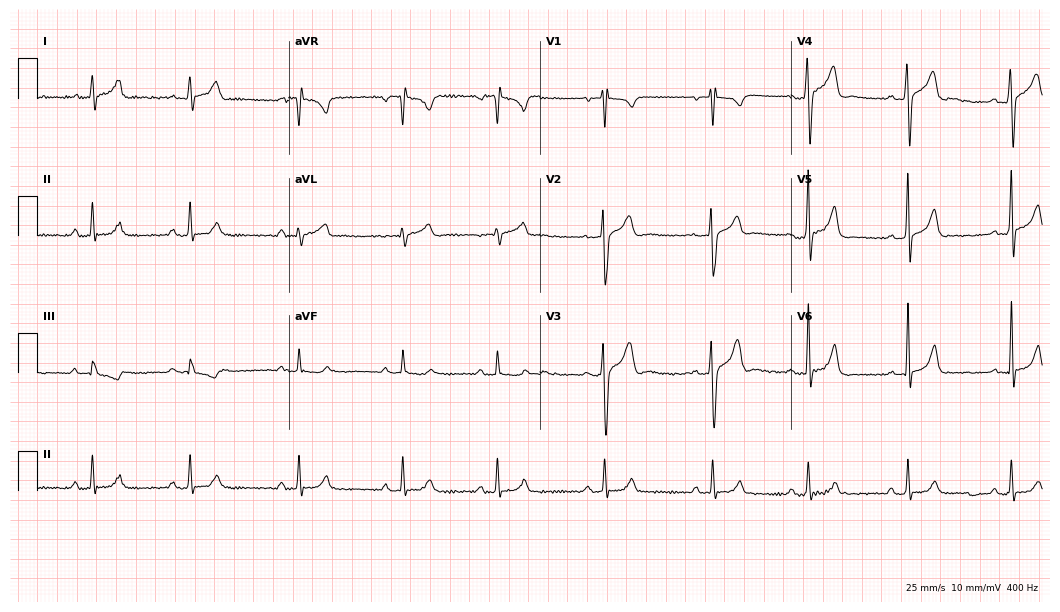
Standard 12-lead ECG recorded from a male patient, 21 years old. Read as a normal ECG.